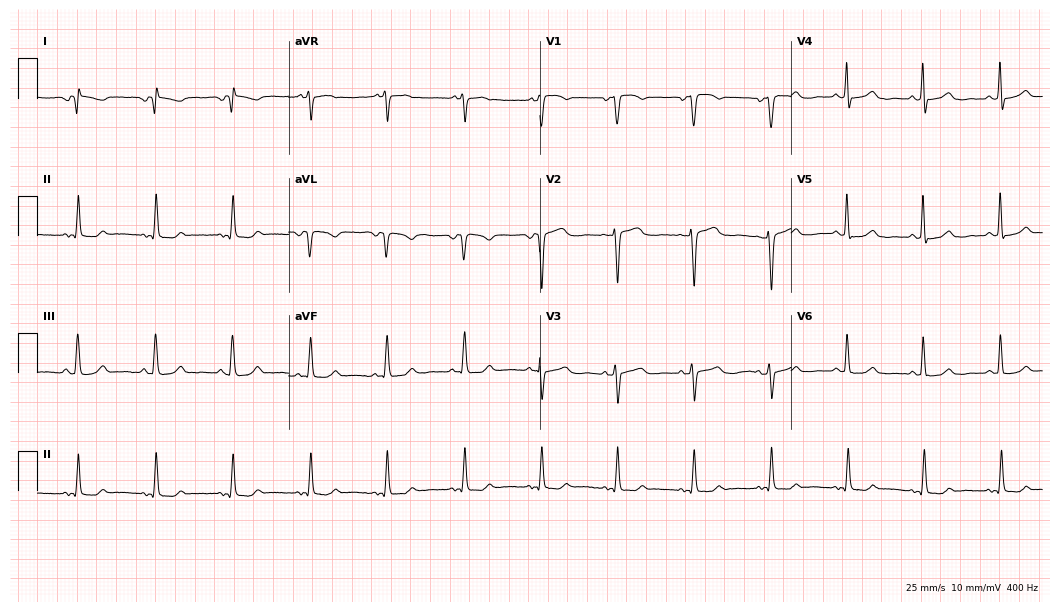
Standard 12-lead ECG recorded from a 58-year-old female. None of these six findings is recorded: first-degree AV block, right bundle branch block, left bundle branch block, sinus bradycardia, atrial fibrillation, sinus tachycardia.